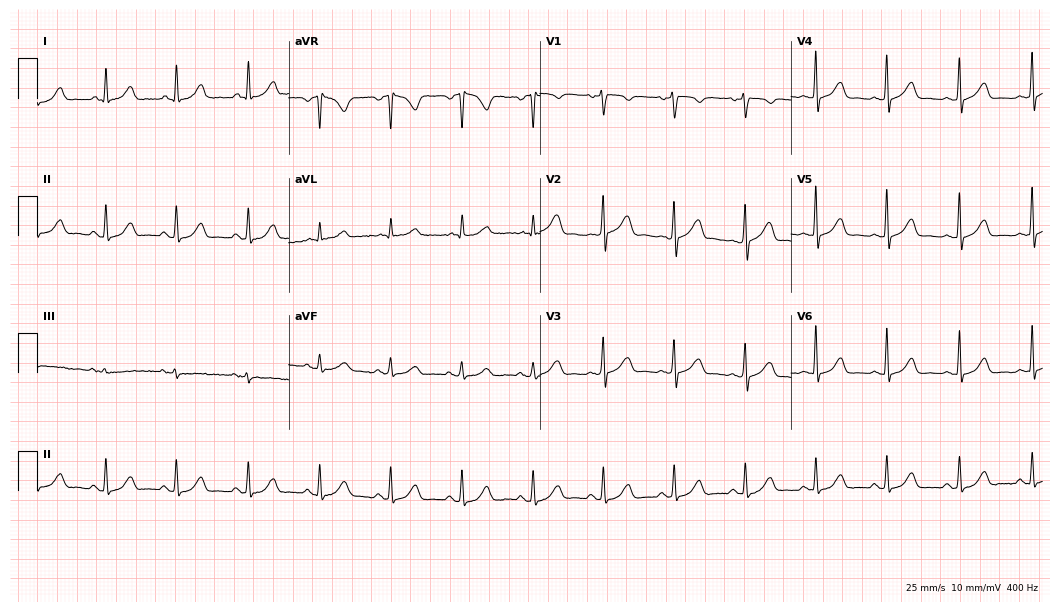
Standard 12-lead ECG recorded from a 45-year-old female patient (10.2-second recording at 400 Hz). Read as a normal ECG.